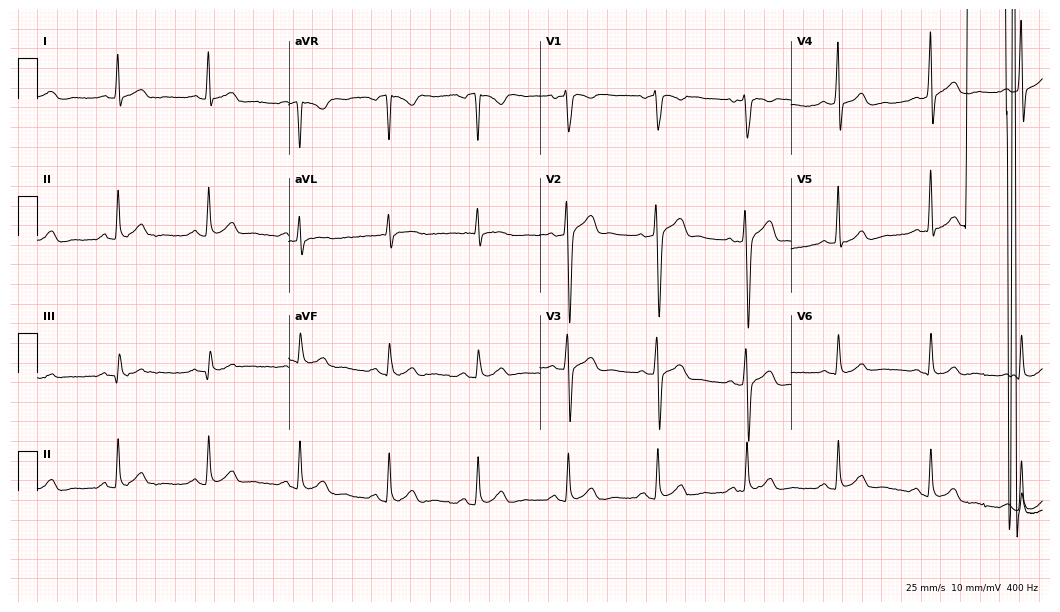
Electrocardiogram, a man, 54 years old. Of the six screened findings (first-degree AV block, right bundle branch block, left bundle branch block, sinus bradycardia, atrial fibrillation, sinus tachycardia), none is recorded.